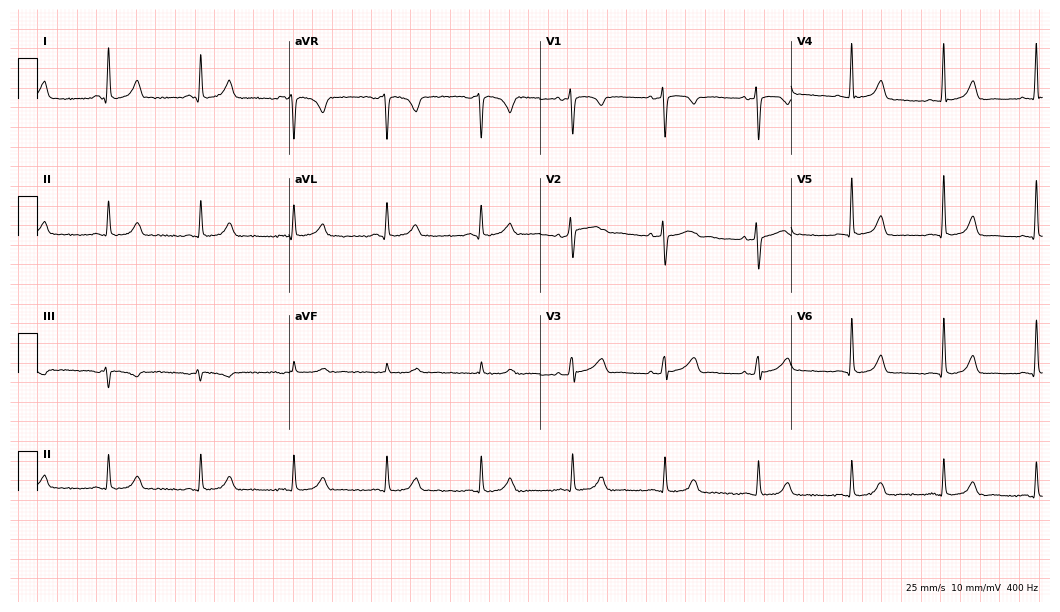
Resting 12-lead electrocardiogram. Patient: a female, 45 years old. Read as a normal ECG.